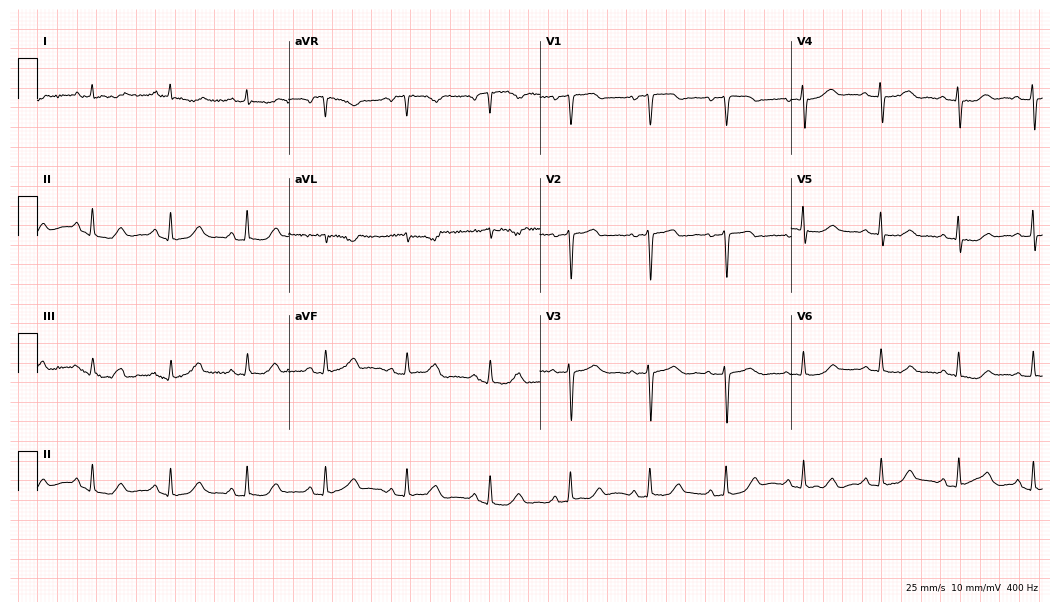
ECG (10.2-second recording at 400 Hz) — a 52-year-old female patient. Labelled as a normal ECG.